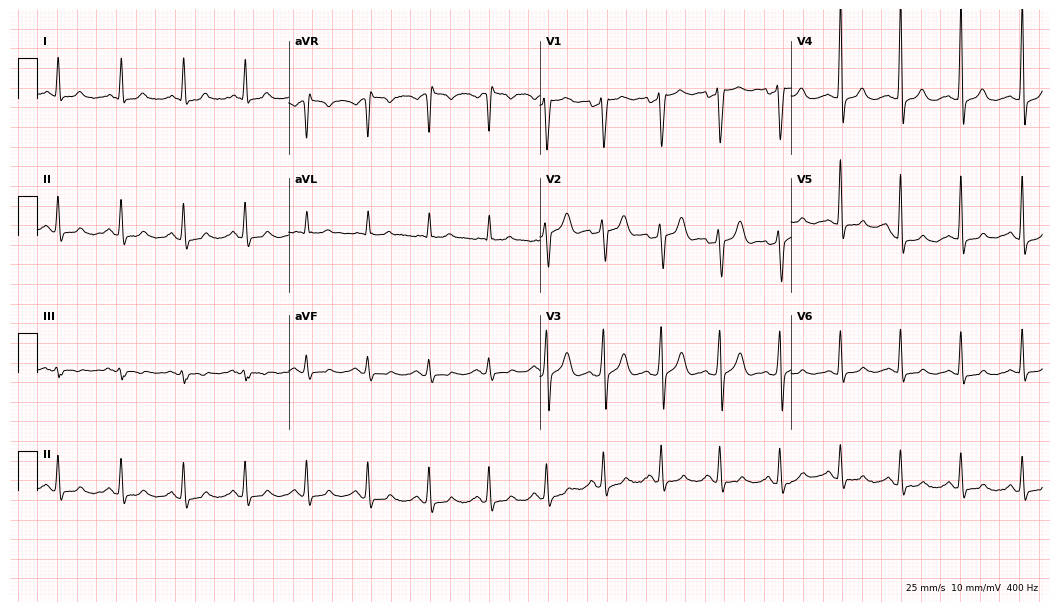
Resting 12-lead electrocardiogram. Patient: a male, 52 years old. Read as a normal ECG.